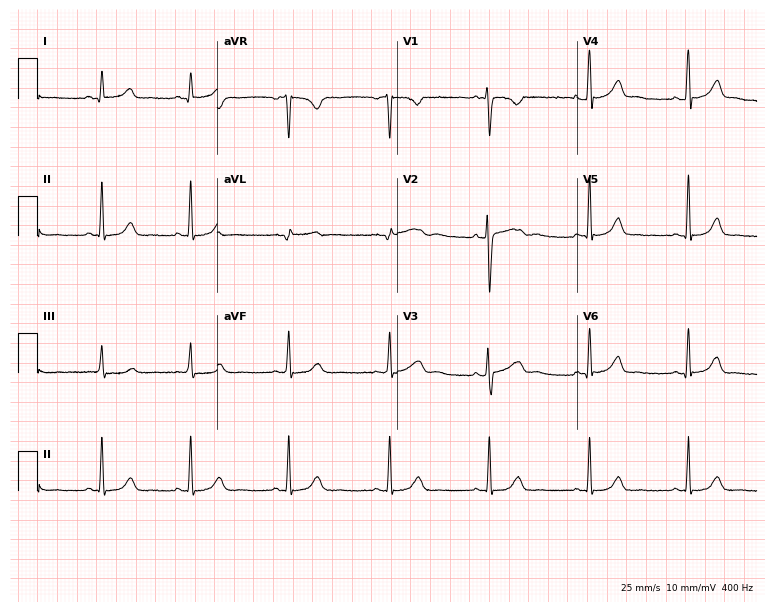
ECG (7.3-second recording at 400 Hz) — a 22-year-old female patient. Screened for six findings — first-degree AV block, right bundle branch block, left bundle branch block, sinus bradycardia, atrial fibrillation, sinus tachycardia — none is recorded.